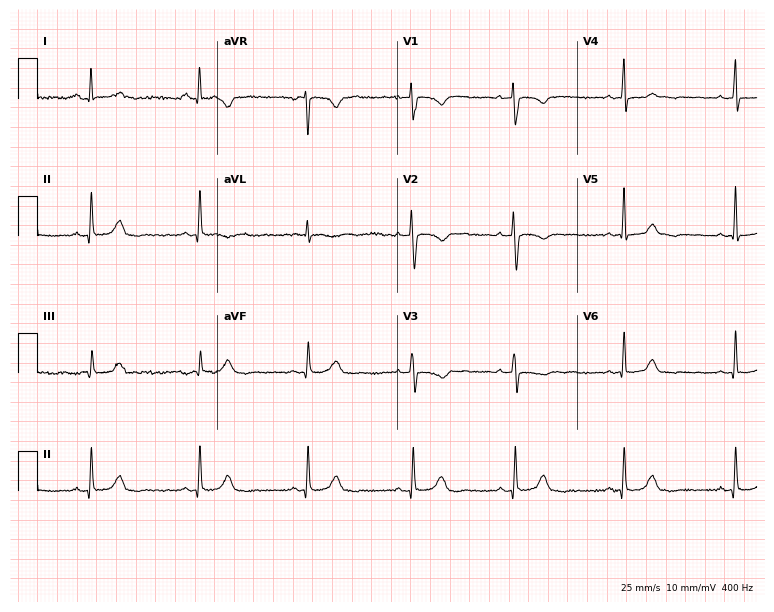
Resting 12-lead electrocardiogram (7.3-second recording at 400 Hz). Patient: a female, 50 years old. Read as a normal ECG.